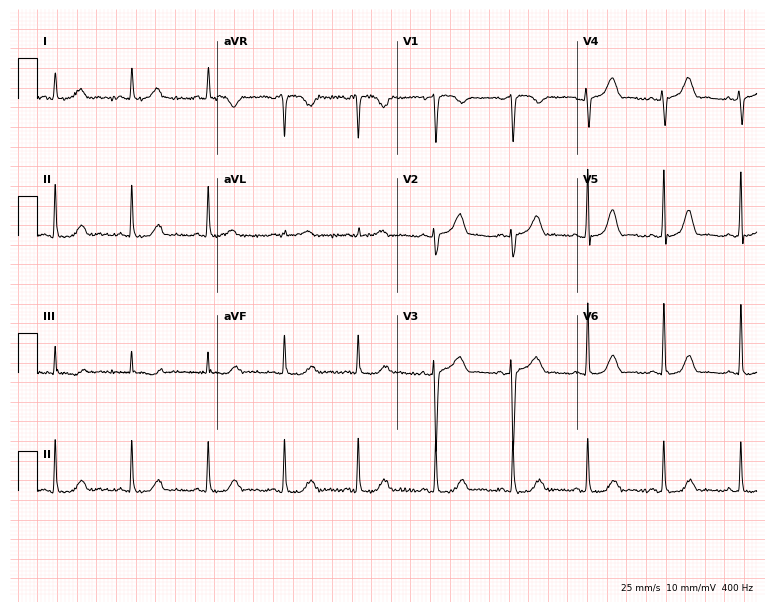
Electrocardiogram, a 60-year-old female. Overall reading on record: normal ECG.